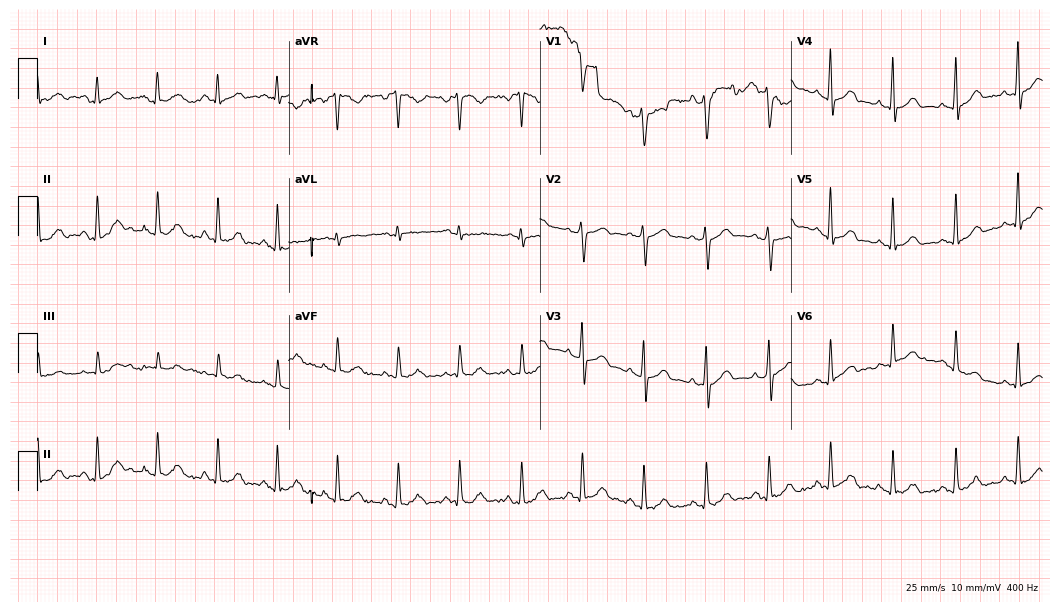
Standard 12-lead ECG recorded from a male, 49 years old. None of these six findings is recorded: first-degree AV block, right bundle branch block (RBBB), left bundle branch block (LBBB), sinus bradycardia, atrial fibrillation (AF), sinus tachycardia.